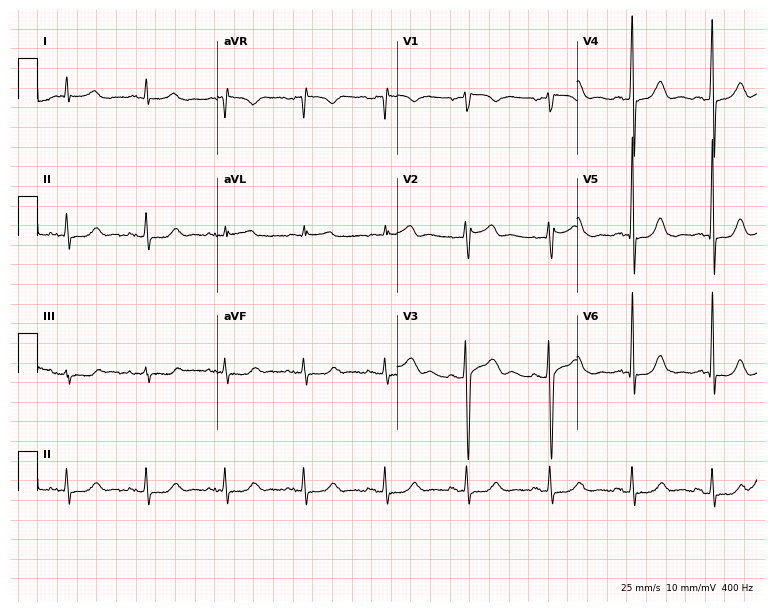
12-lead ECG from a 47-year-old male. Screened for six findings — first-degree AV block, right bundle branch block, left bundle branch block, sinus bradycardia, atrial fibrillation, sinus tachycardia — none is recorded.